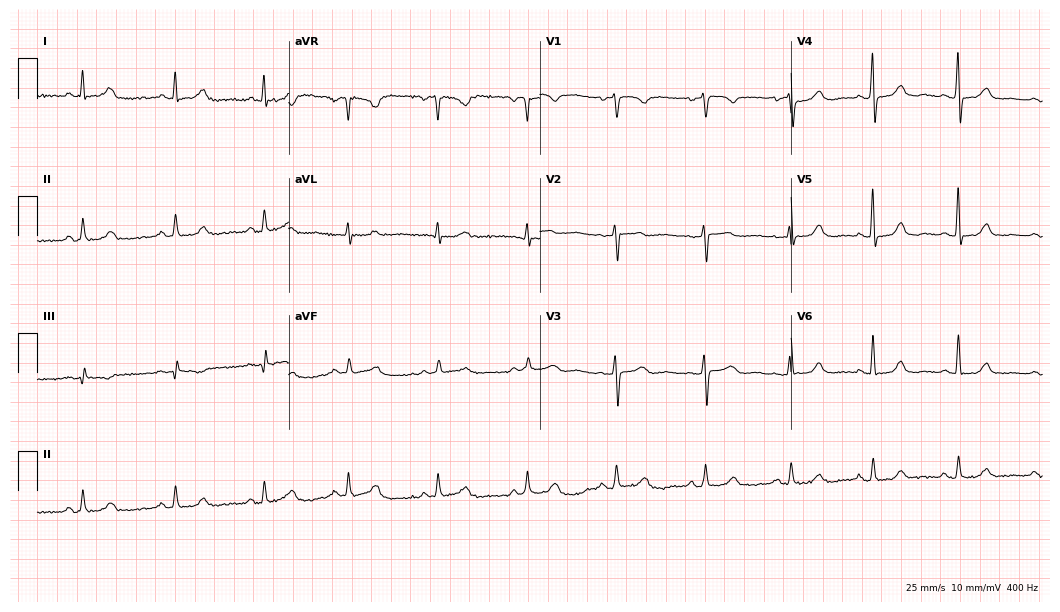
Standard 12-lead ECG recorded from a female patient, 57 years old. Read as a normal ECG.